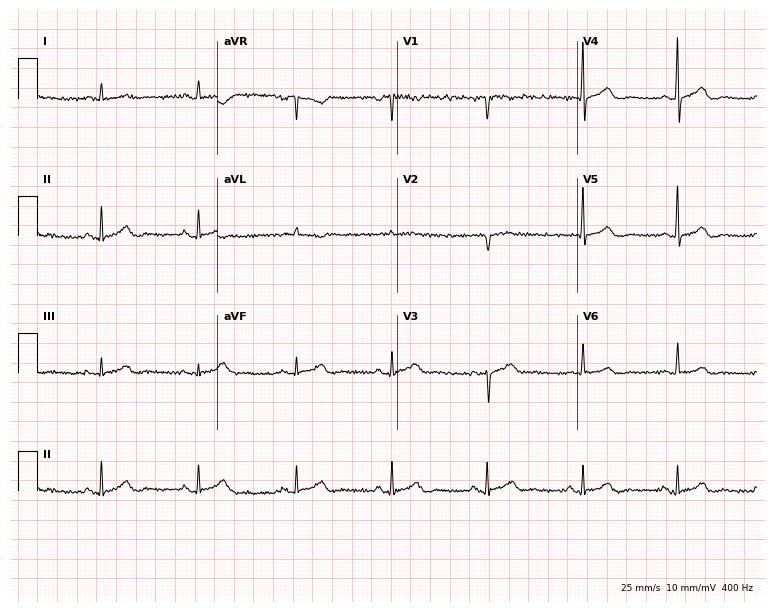
ECG — a male patient, 76 years old. Labelled as a normal ECG.